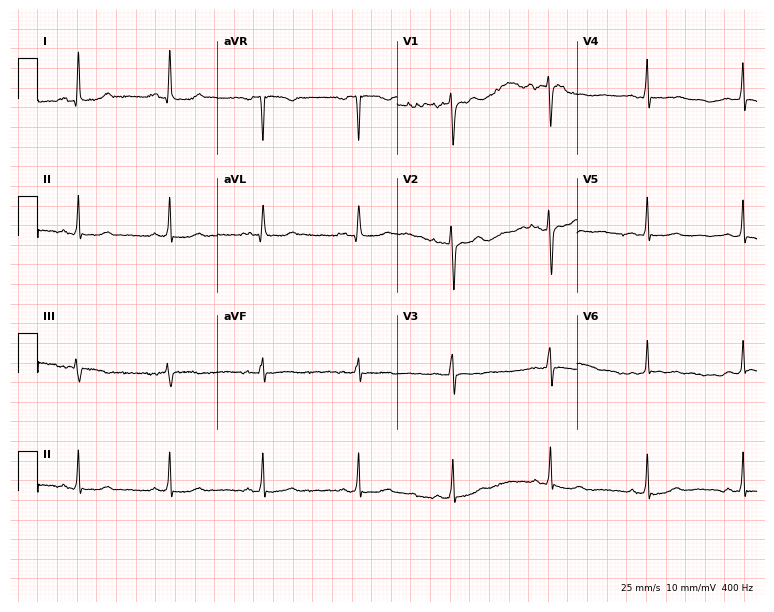
Resting 12-lead electrocardiogram (7.3-second recording at 400 Hz). Patient: a 49-year-old female. None of these six findings is recorded: first-degree AV block, right bundle branch block, left bundle branch block, sinus bradycardia, atrial fibrillation, sinus tachycardia. Only these six findings were labelled.